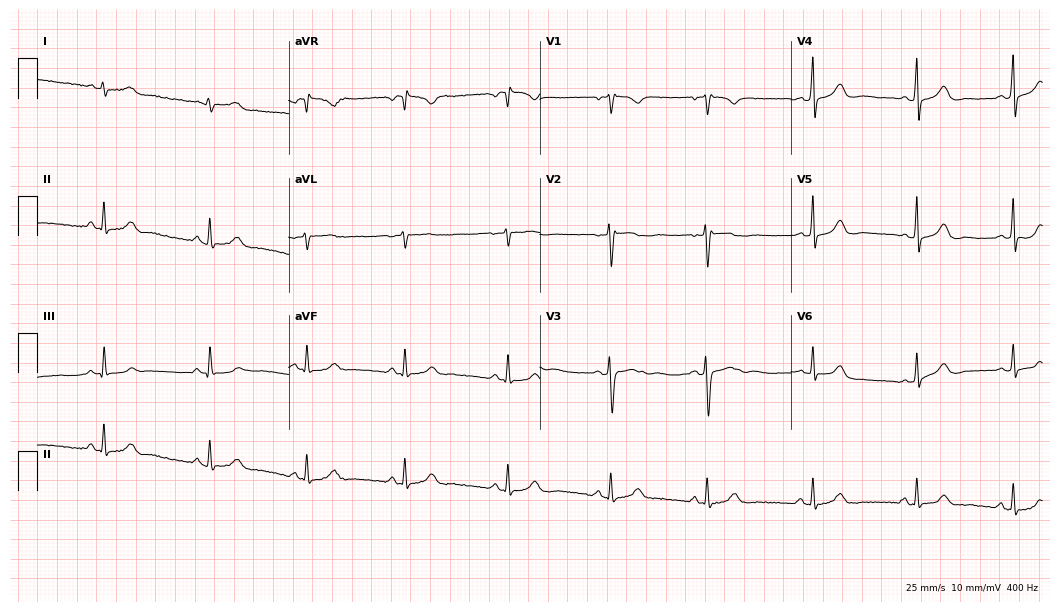
12-lead ECG from a female, 32 years old. Recorded interpretation: within normal limits.